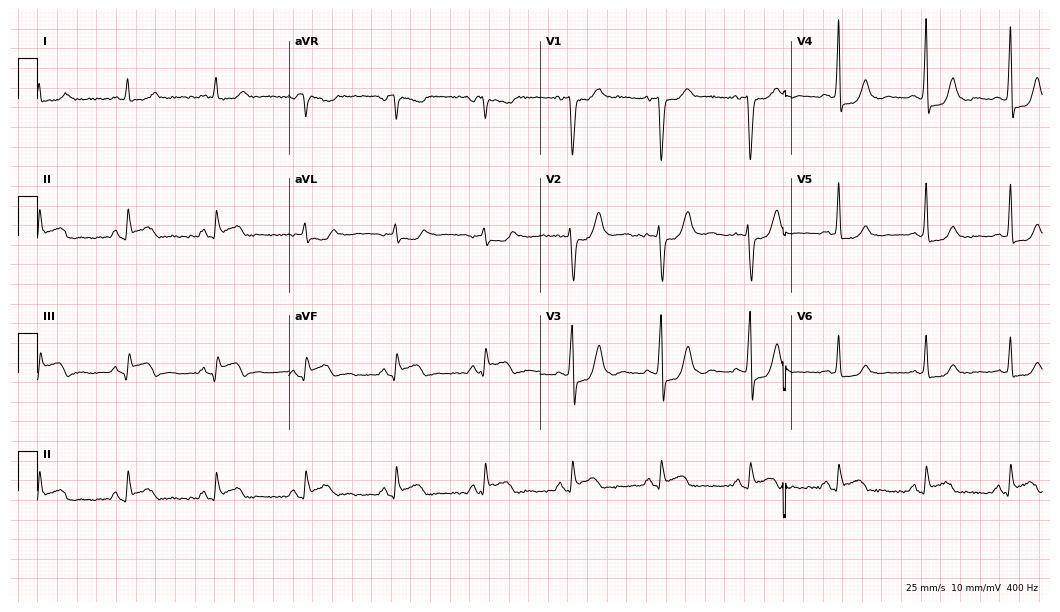
12-lead ECG from a male patient, 62 years old (10.2-second recording at 400 Hz). No first-degree AV block, right bundle branch block (RBBB), left bundle branch block (LBBB), sinus bradycardia, atrial fibrillation (AF) or sinus tachycardia recorded for this tracing. Only these six findings were labelled.